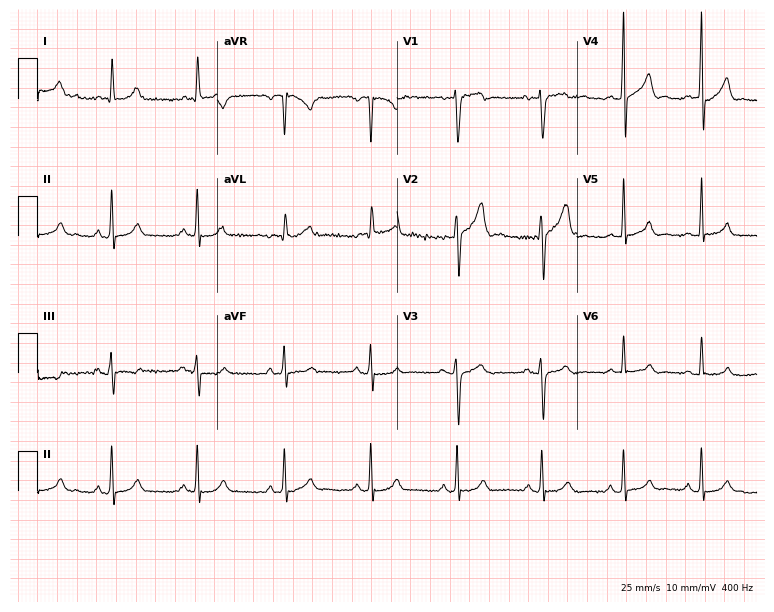
Standard 12-lead ECG recorded from a 38-year-old male patient. Read as a normal ECG.